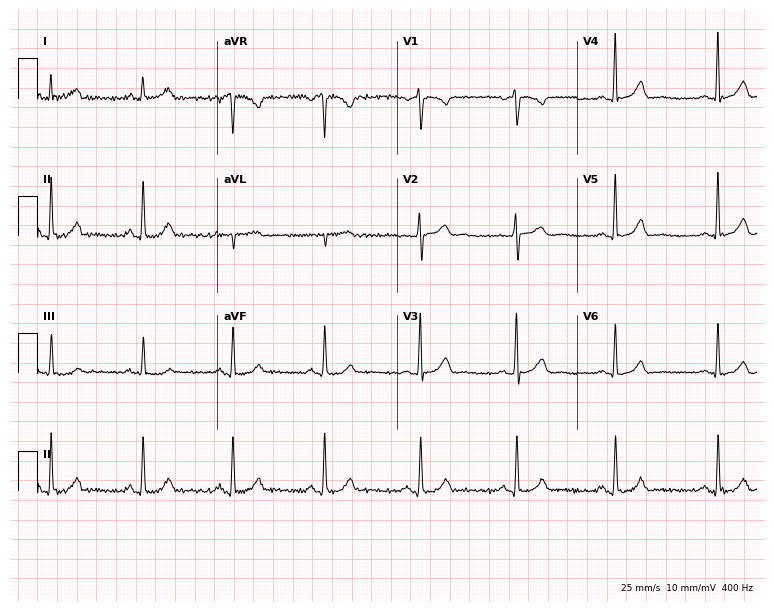
12-lead ECG from a 46-year-old female patient. Recorded interpretation: within normal limits.